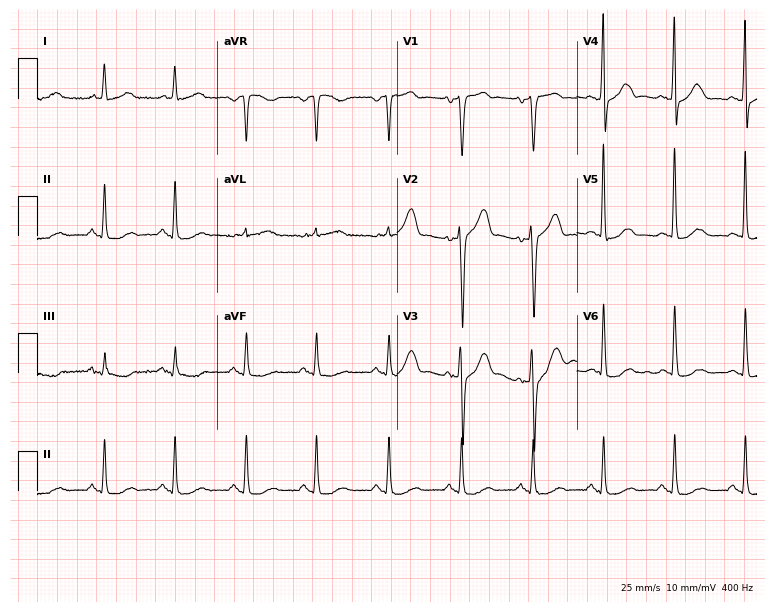
Standard 12-lead ECG recorded from a 69-year-old female (7.3-second recording at 400 Hz). None of these six findings is recorded: first-degree AV block, right bundle branch block, left bundle branch block, sinus bradycardia, atrial fibrillation, sinus tachycardia. Other findings, if any, are not listed.